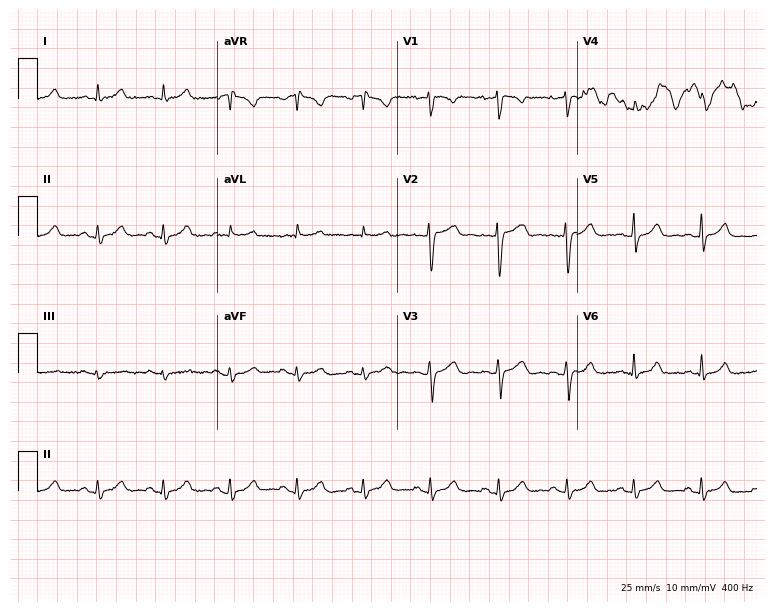
12-lead ECG from a female, 45 years old (7.3-second recording at 400 Hz). Recorded interpretation: within normal limits.